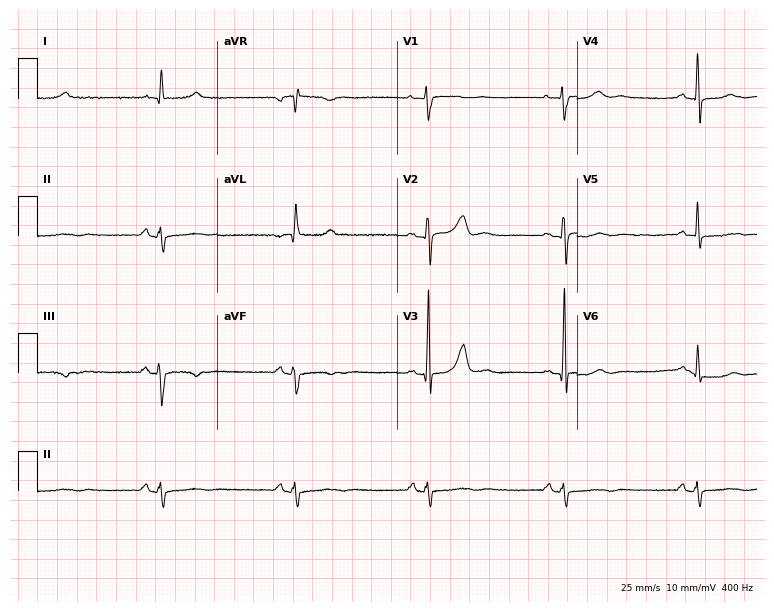
12-lead ECG from a 58-year-old female patient (7.3-second recording at 400 Hz). Shows sinus bradycardia (a sinus rate of 50 beats per minute or less).